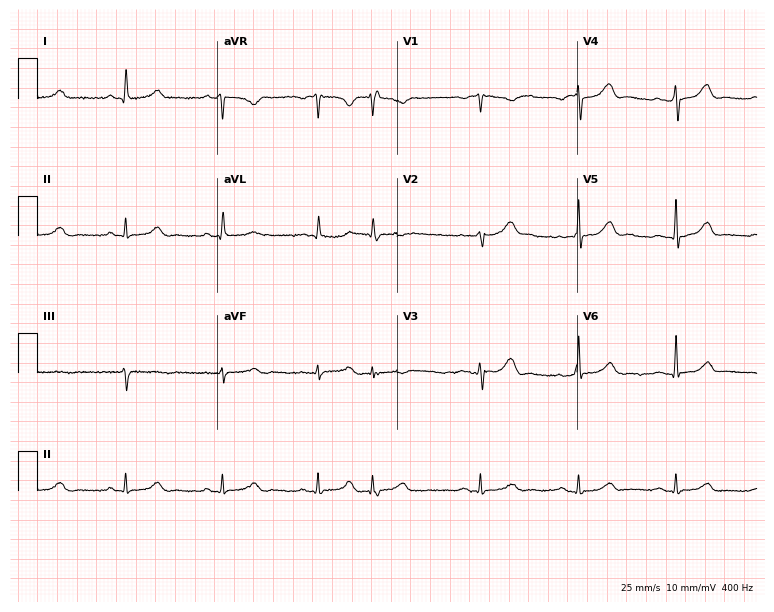
Resting 12-lead electrocardiogram (7.3-second recording at 400 Hz). Patient: a male, 80 years old. None of these six findings is recorded: first-degree AV block, right bundle branch block (RBBB), left bundle branch block (LBBB), sinus bradycardia, atrial fibrillation (AF), sinus tachycardia.